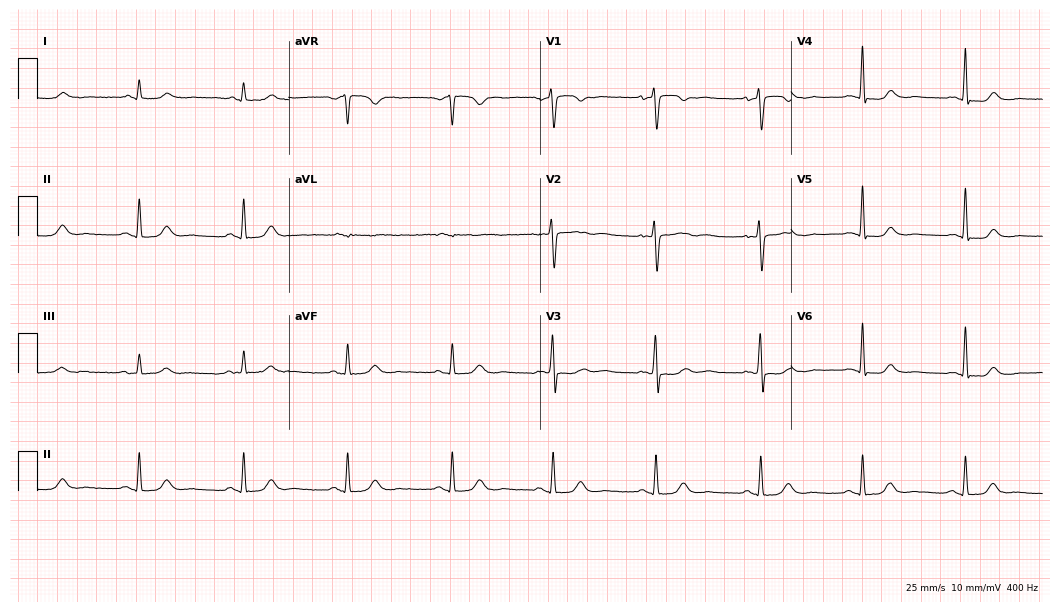
Resting 12-lead electrocardiogram (10.2-second recording at 400 Hz). Patient: a 58-year-old female. None of these six findings is recorded: first-degree AV block, right bundle branch block, left bundle branch block, sinus bradycardia, atrial fibrillation, sinus tachycardia.